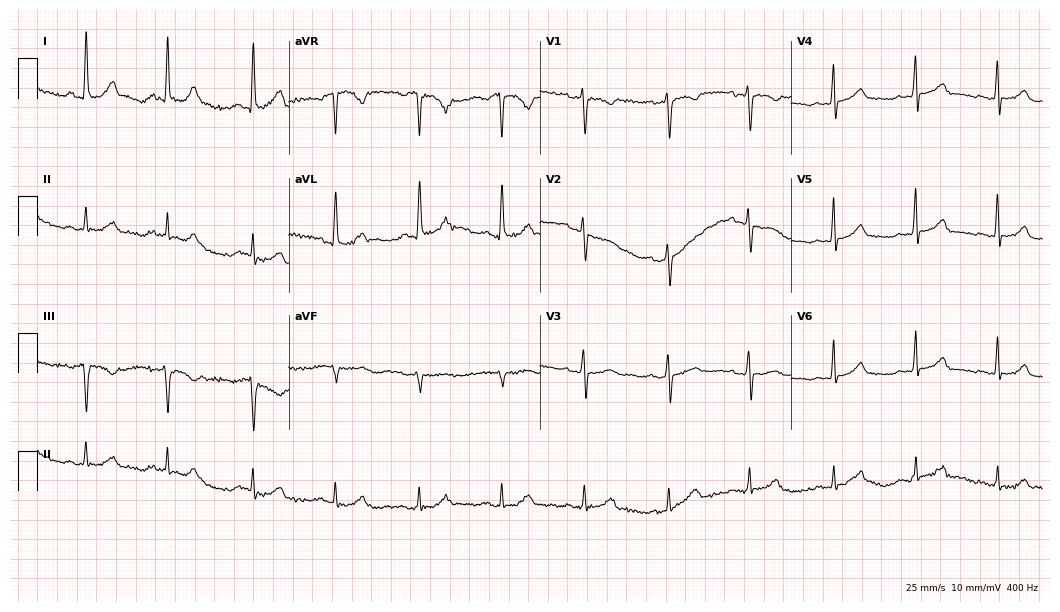
Resting 12-lead electrocardiogram (10.2-second recording at 400 Hz). Patient: a 72-year-old female. Read as a normal ECG.